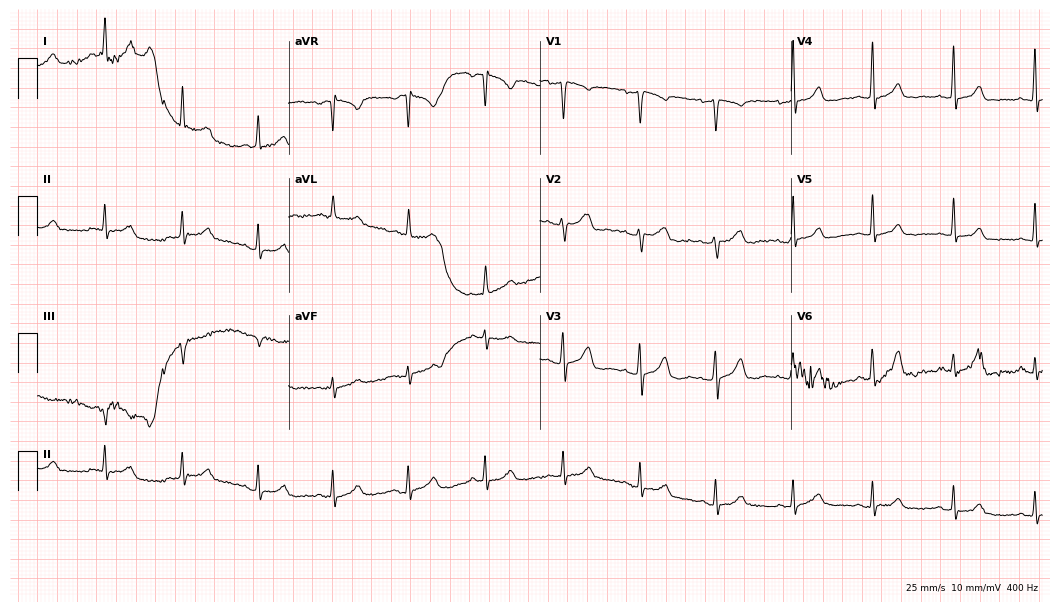
Electrocardiogram, a 66-year-old female. Overall reading on record: normal ECG.